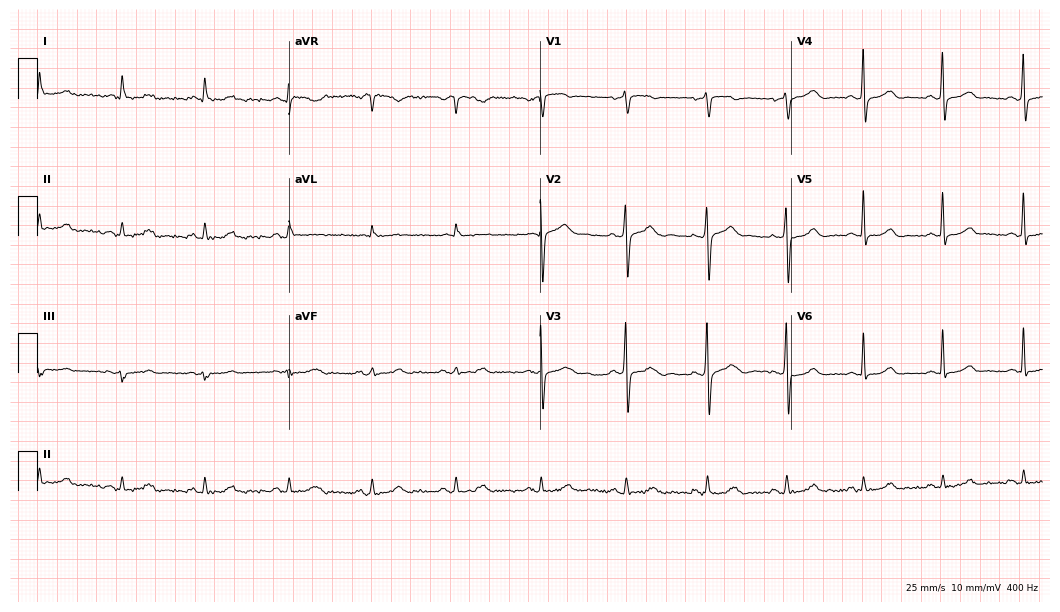
Standard 12-lead ECG recorded from a 69-year-old female (10.2-second recording at 400 Hz). Read as a normal ECG.